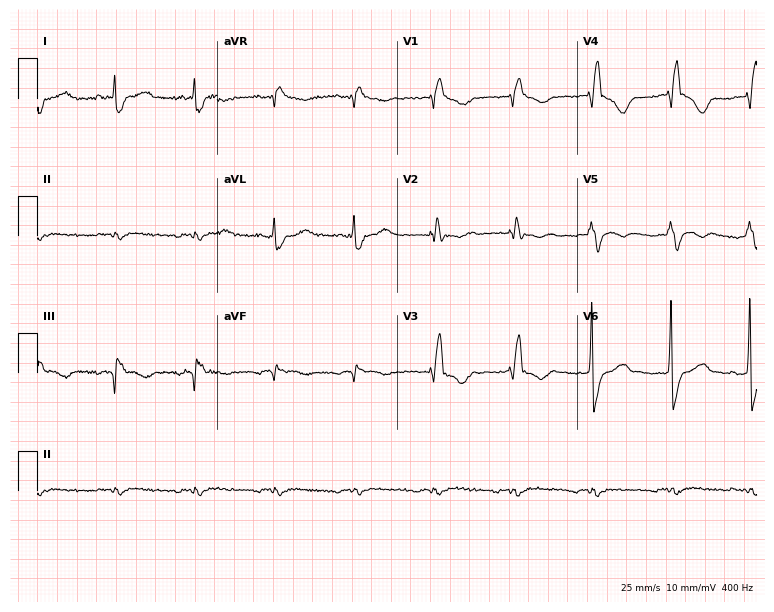
Resting 12-lead electrocardiogram. Patient: a man, 64 years old. None of these six findings is recorded: first-degree AV block, right bundle branch block (RBBB), left bundle branch block (LBBB), sinus bradycardia, atrial fibrillation (AF), sinus tachycardia.